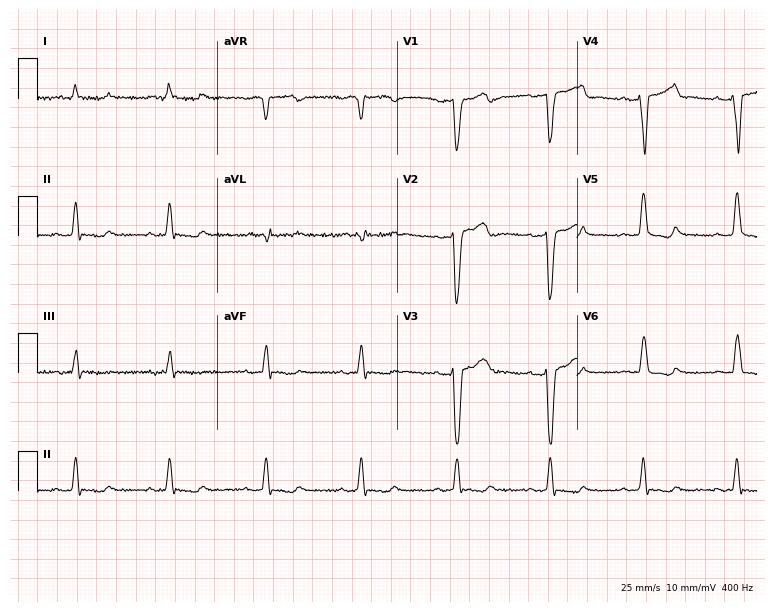
12-lead ECG (7.3-second recording at 400 Hz) from a female patient, 85 years old. Findings include left bundle branch block.